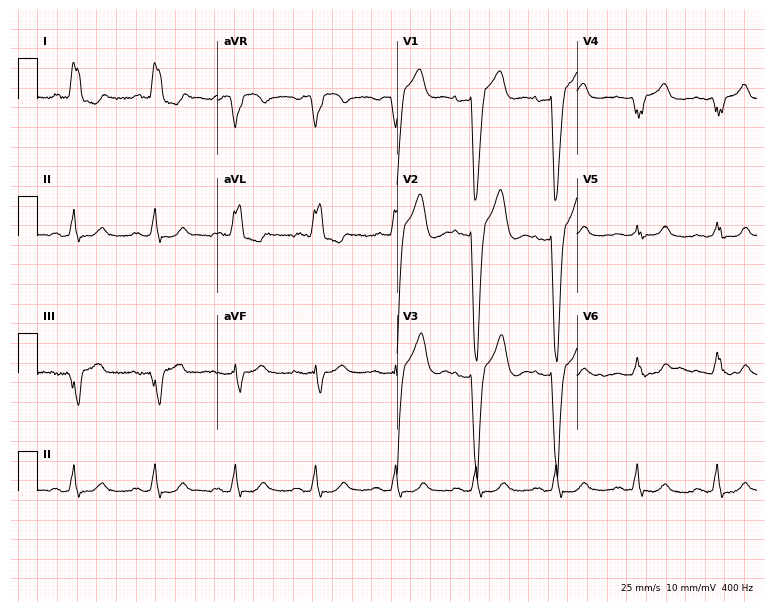
Electrocardiogram (7.3-second recording at 400 Hz), a 77-year-old female. Interpretation includes left bundle branch block (LBBB).